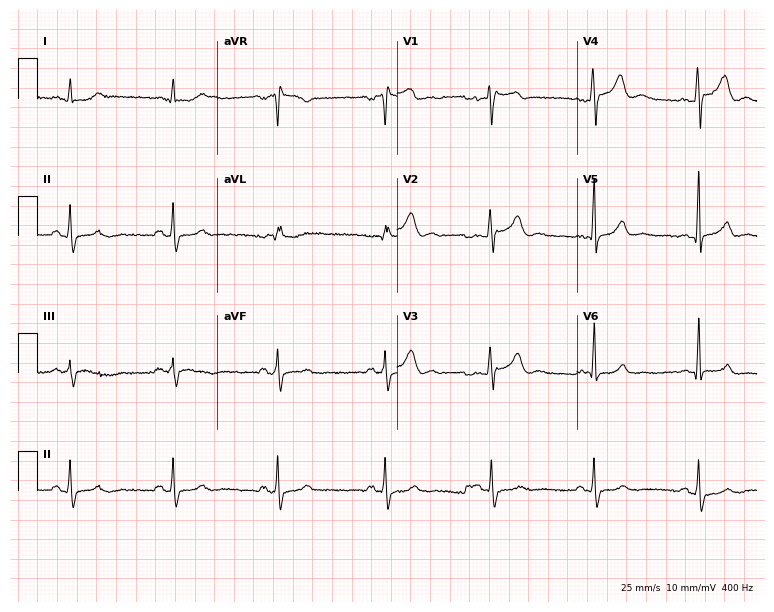
Standard 12-lead ECG recorded from a male, 46 years old (7.3-second recording at 400 Hz). None of these six findings is recorded: first-degree AV block, right bundle branch block, left bundle branch block, sinus bradycardia, atrial fibrillation, sinus tachycardia.